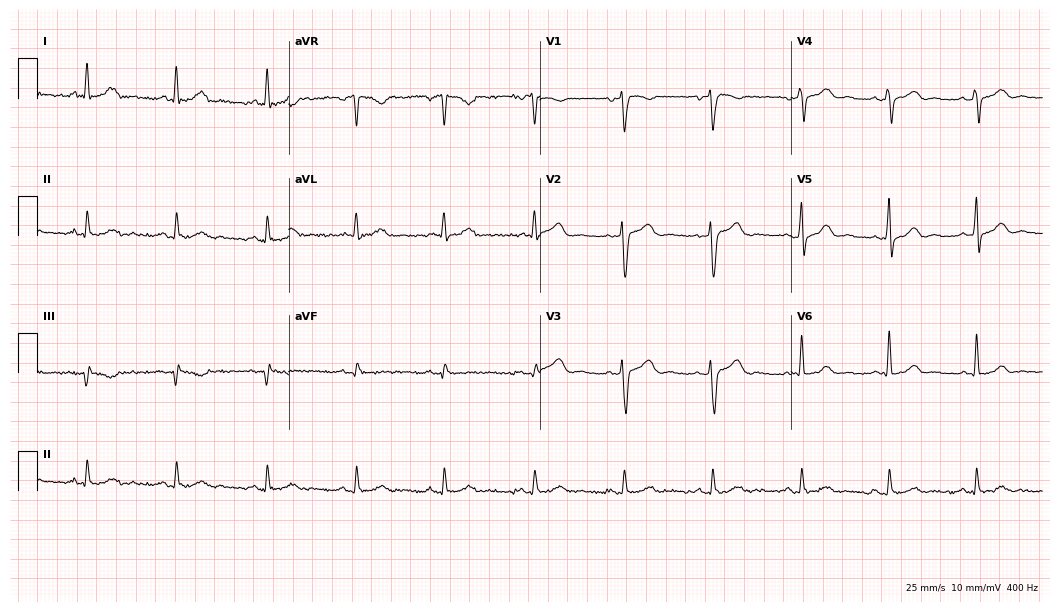
Resting 12-lead electrocardiogram. Patient: a 57-year-old male. Read as a normal ECG.